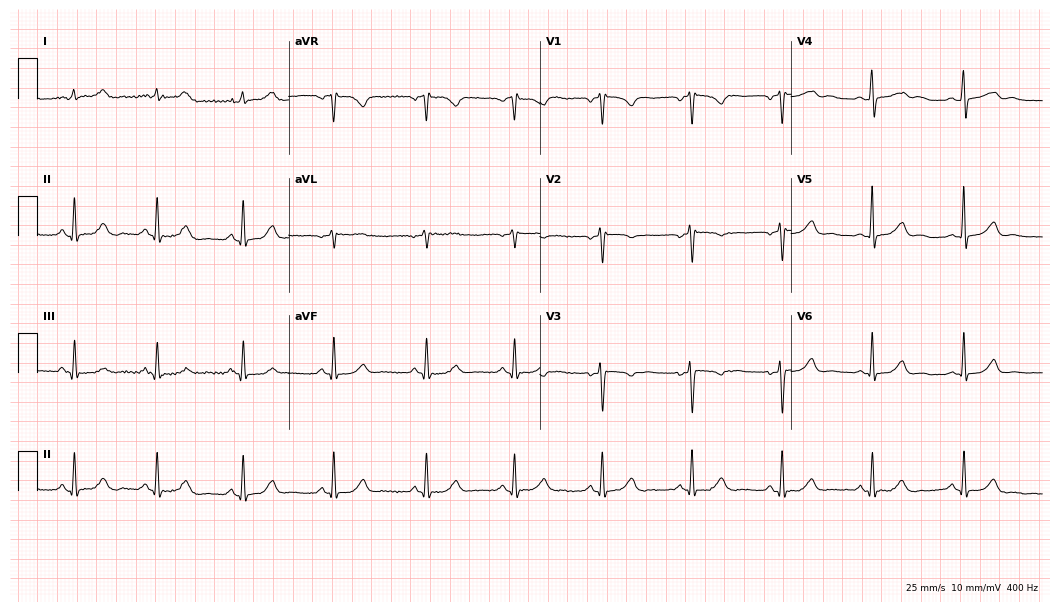
12-lead ECG from a female, 41 years old. Recorded interpretation: within normal limits.